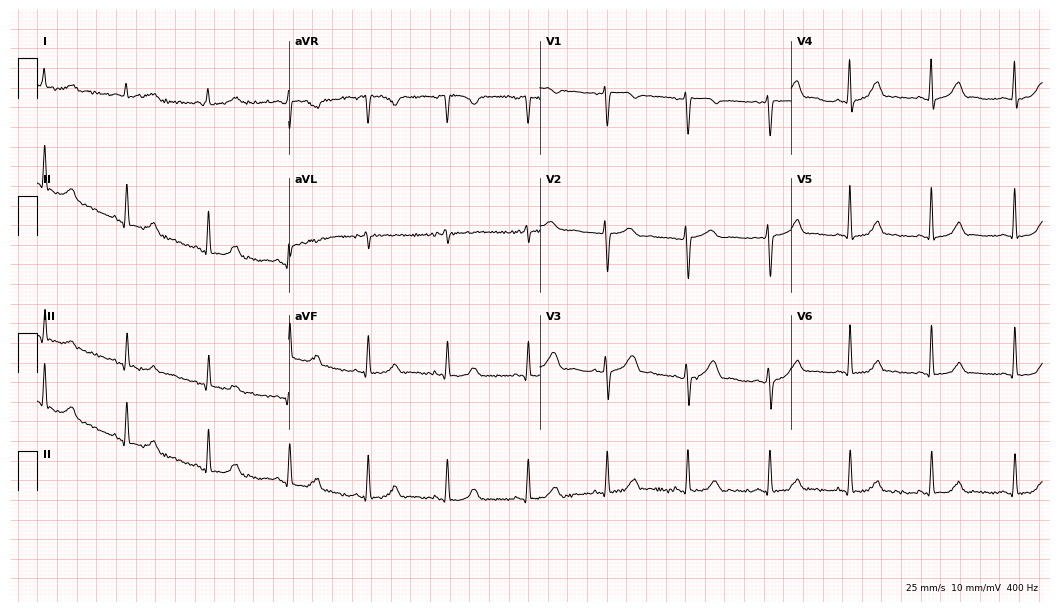
Standard 12-lead ECG recorded from a female patient, 42 years old (10.2-second recording at 400 Hz). None of these six findings is recorded: first-degree AV block, right bundle branch block, left bundle branch block, sinus bradycardia, atrial fibrillation, sinus tachycardia. Other findings, if any, are not listed.